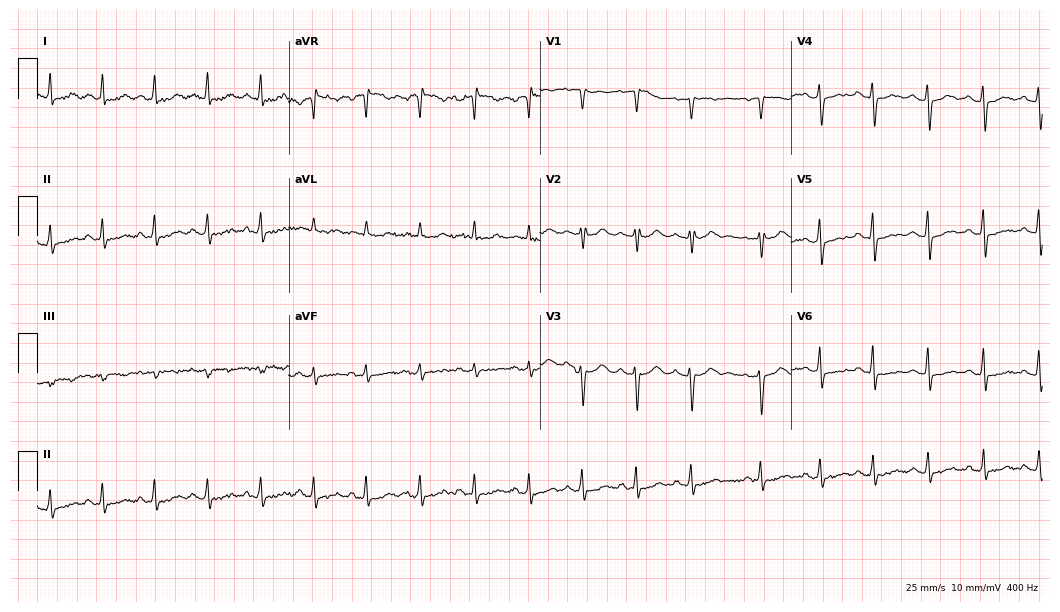
12-lead ECG (10.2-second recording at 400 Hz) from a 50-year-old woman. Findings include sinus tachycardia (a sinus rate of 100 beats per minute or more).